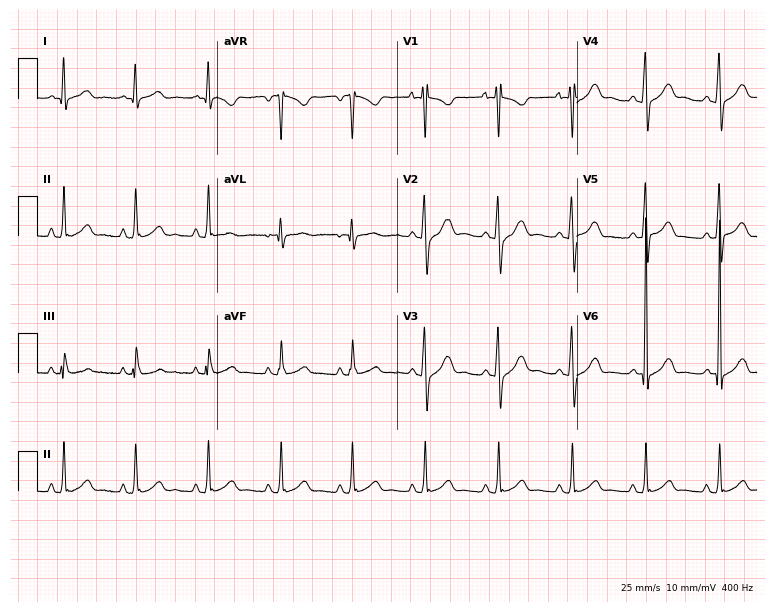
ECG (7.3-second recording at 400 Hz) — a 19-year-old man. Labelled as a normal ECG.